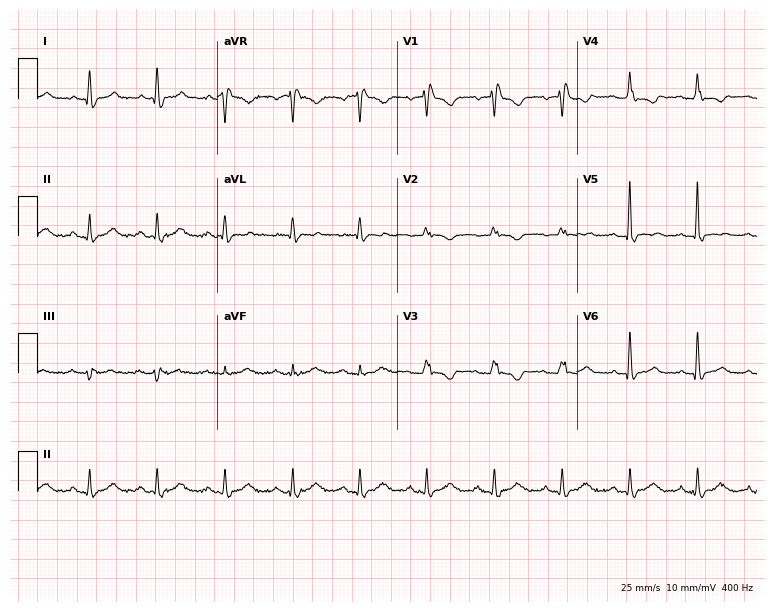
Standard 12-lead ECG recorded from a 51-year-old female (7.3-second recording at 400 Hz). The tracing shows right bundle branch block.